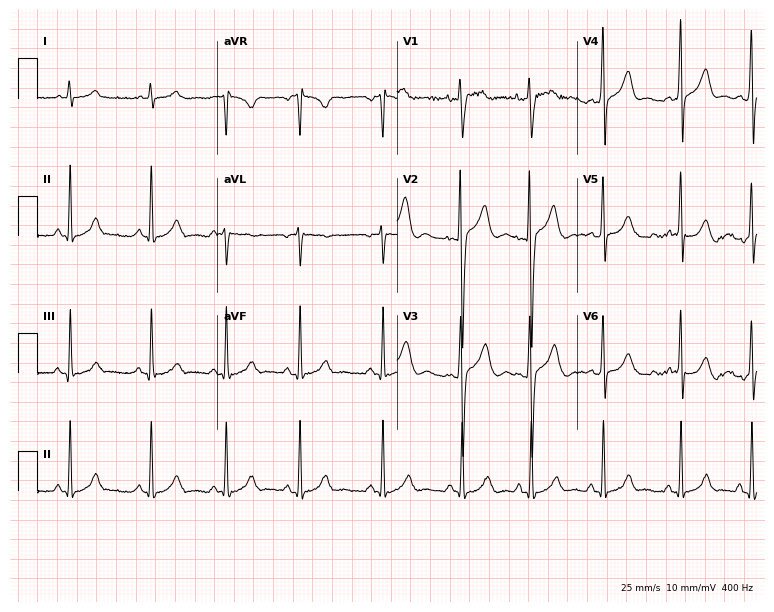
Standard 12-lead ECG recorded from an 18-year-old male patient. Read as a normal ECG.